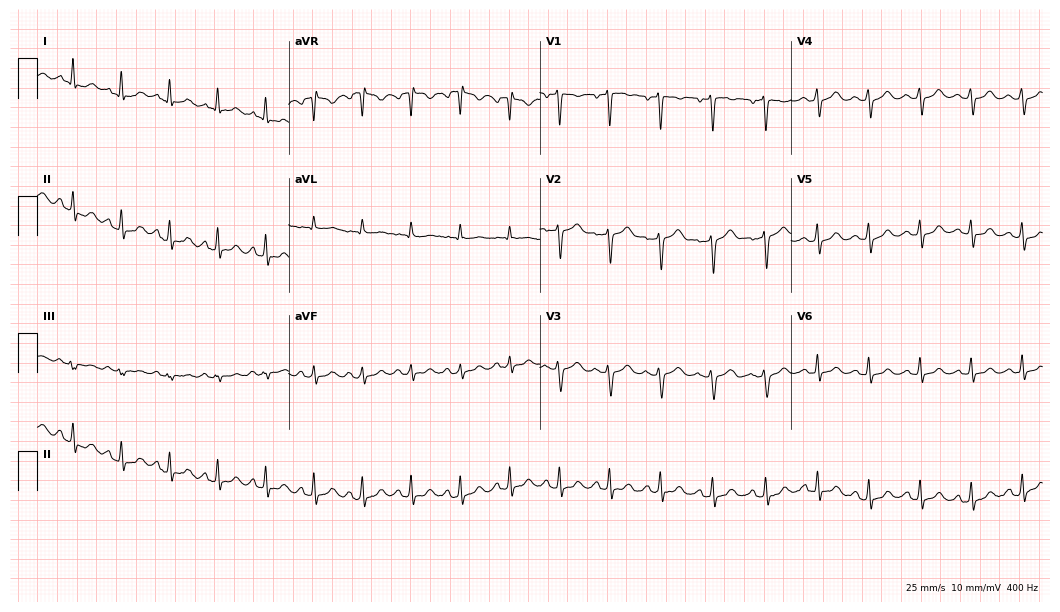
Standard 12-lead ECG recorded from a female, 38 years old. None of these six findings is recorded: first-degree AV block, right bundle branch block, left bundle branch block, sinus bradycardia, atrial fibrillation, sinus tachycardia.